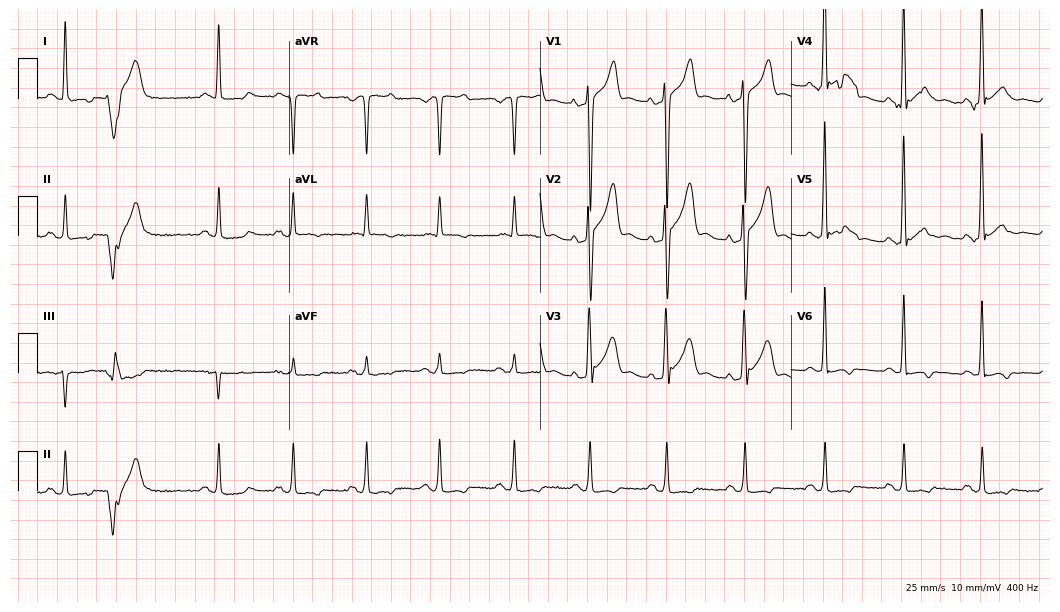
Resting 12-lead electrocardiogram. Patient: a 58-year-old male. None of these six findings is recorded: first-degree AV block, right bundle branch block, left bundle branch block, sinus bradycardia, atrial fibrillation, sinus tachycardia. Only these six findings were labelled.